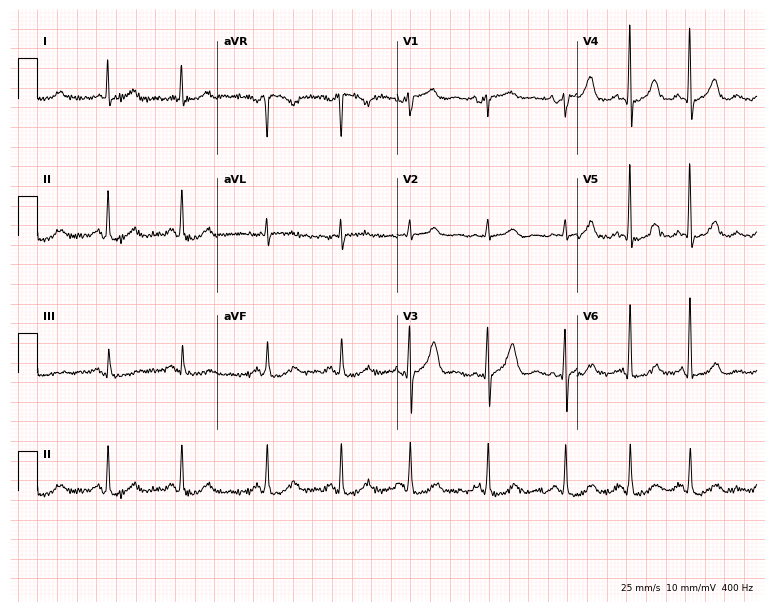
12-lead ECG from a 62-year-old female patient (7.3-second recording at 400 Hz). No first-degree AV block, right bundle branch block (RBBB), left bundle branch block (LBBB), sinus bradycardia, atrial fibrillation (AF) or sinus tachycardia recorded for this tracing.